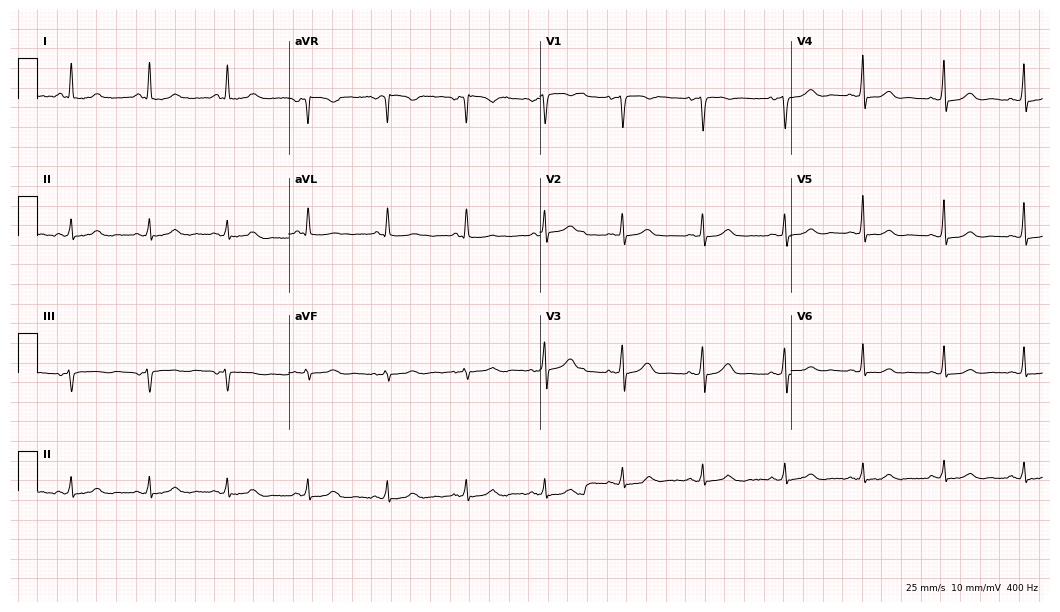
ECG — a woman, 60 years old. Labelled as a normal ECG.